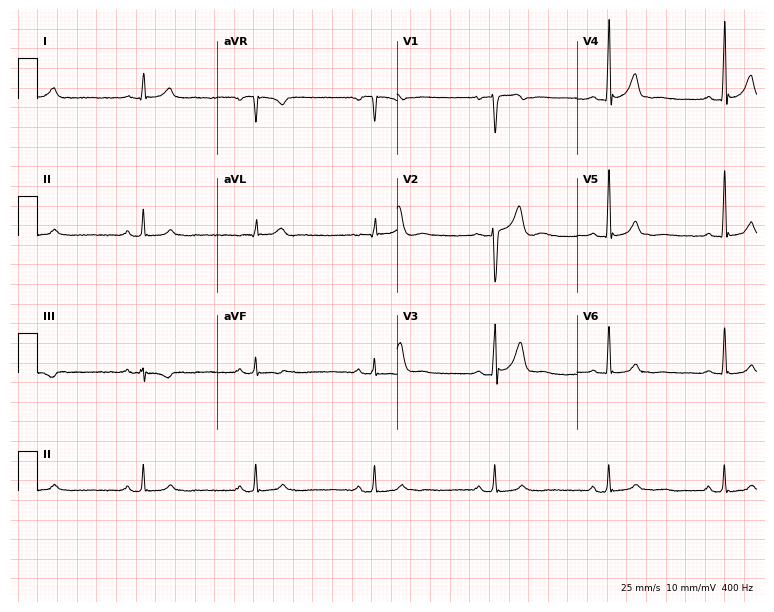
12-lead ECG (7.3-second recording at 400 Hz) from a male, 24 years old. Findings include sinus bradycardia (a sinus rate of 50 beats per minute or less).